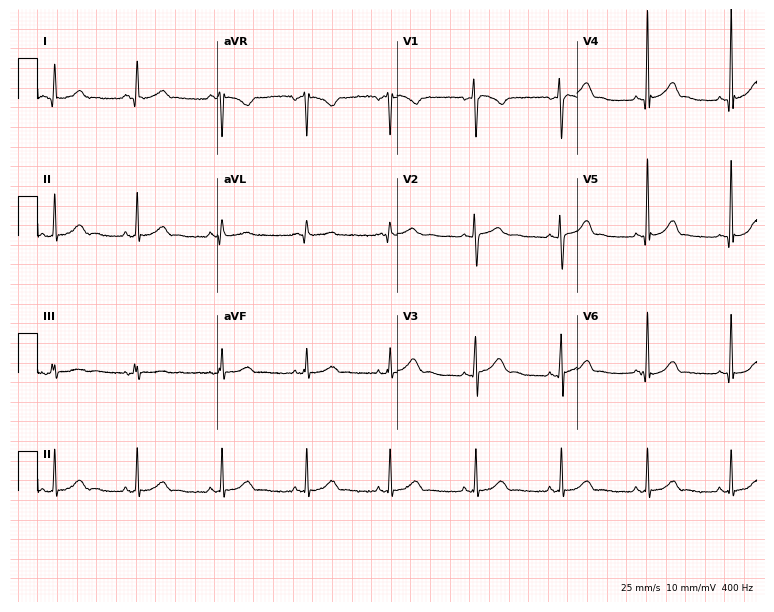
Resting 12-lead electrocardiogram (7.3-second recording at 400 Hz). Patient: a woman, 18 years old. Read as a normal ECG.